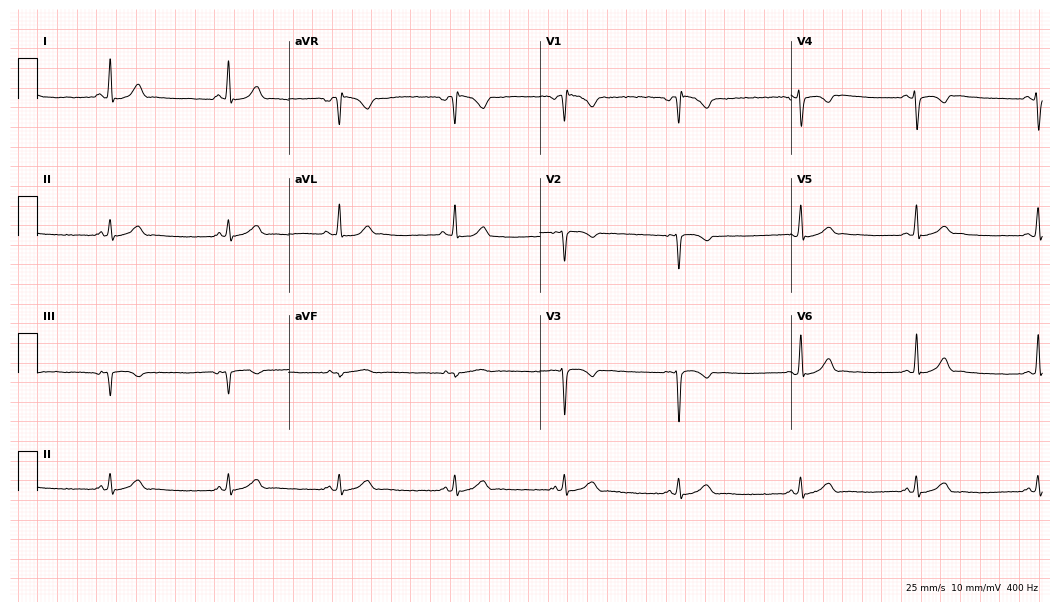
Resting 12-lead electrocardiogram (10.2-second recording at 400 Hz). Patient: a 23-year-old female. None of these six findings is recorded: first-degree AV block, right bundle branch block, left bundle branch block, sinus bradycardia, atrial fibrillation, sinus tachycardia.